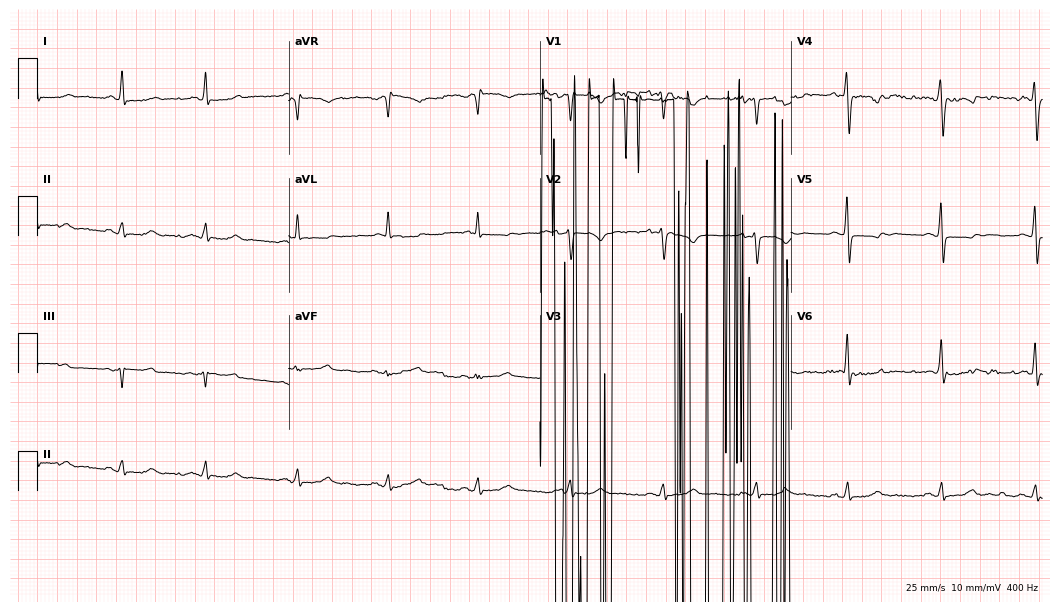
12-lead ECG from a woman, 55 years old. Screened for six findings — first-degree AV block, right bundle branch block (RBBB), left bundle branch block (LBBB), sinus bradycardia, atrial fibrillation (AF), sinus tachycardia — none is recorded.